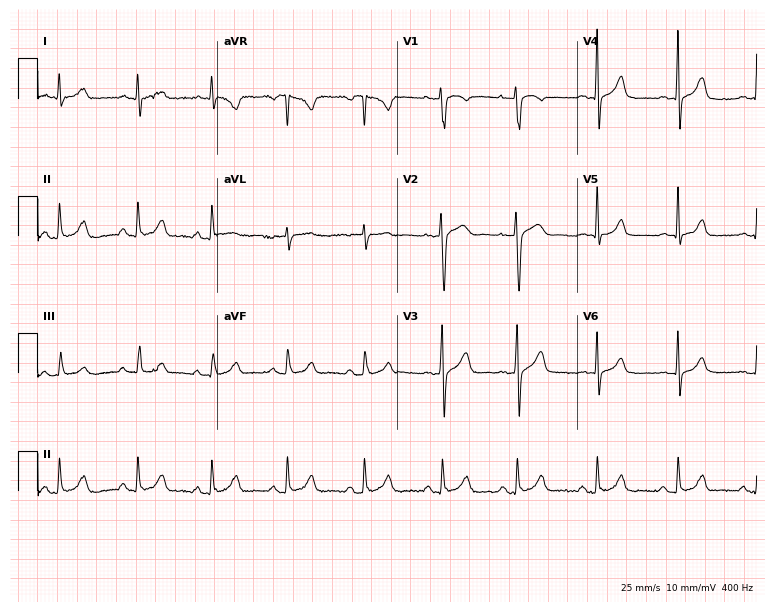
Resting 12-lead electrocardiogram. Patient: a 46-year-old female. None of these six findings is recorded: first-degree AV block, right bundle branch block, left bundle branch block, sinus bradycardia, atrial fibrillation, sinus tachycardia.